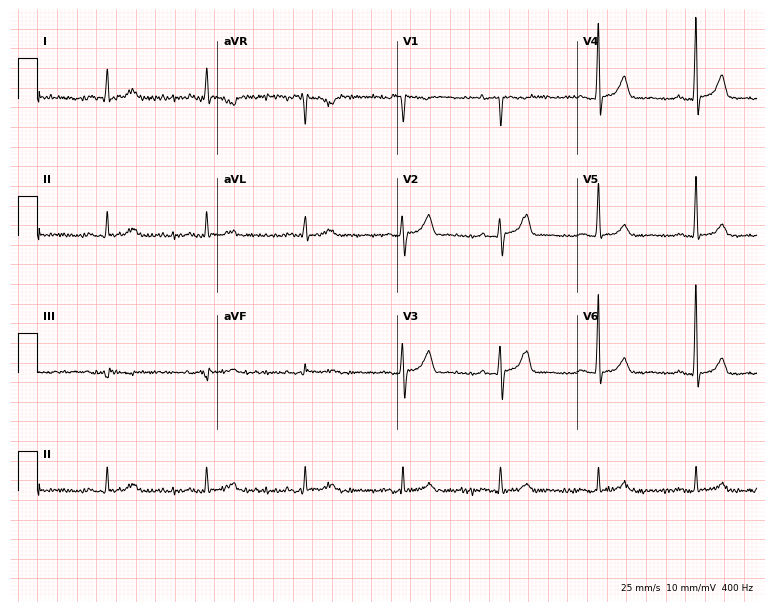
Resting 12-lead electrocardiogram (7.3-second recording at 400 Hz). Patient: a male, 77 years old. None of these six findings is recorded: first-degree AV block, right bundle branch block, left bundle branch block, sinus bradycardia, atrial fibrillation, sinus tachycardia. Other findings, if any, are not listed.